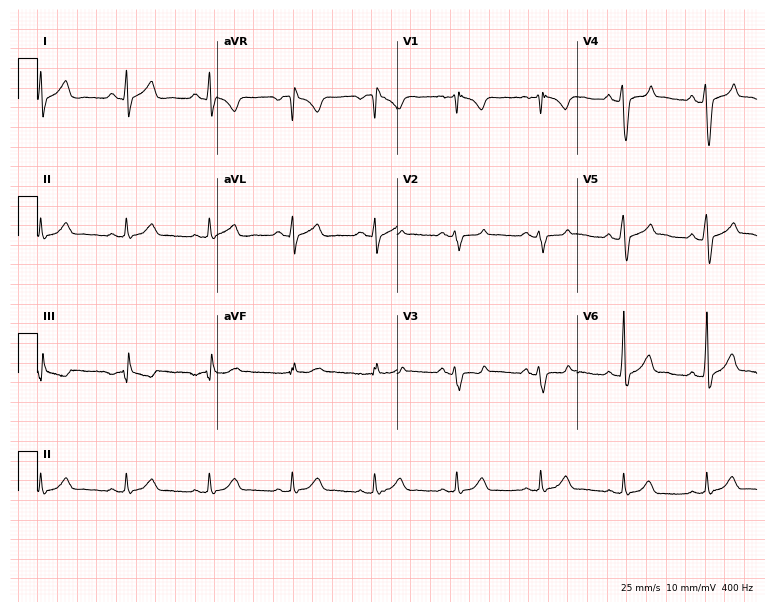
Standard 12-lead ECG recorded from a 45-year-old male patient. None of these six findings is recorded: first-degree AV block, right bundle branch block, left bundle branch block, sinus bradycardia, atrial fibrillation, sinus tachycardia.